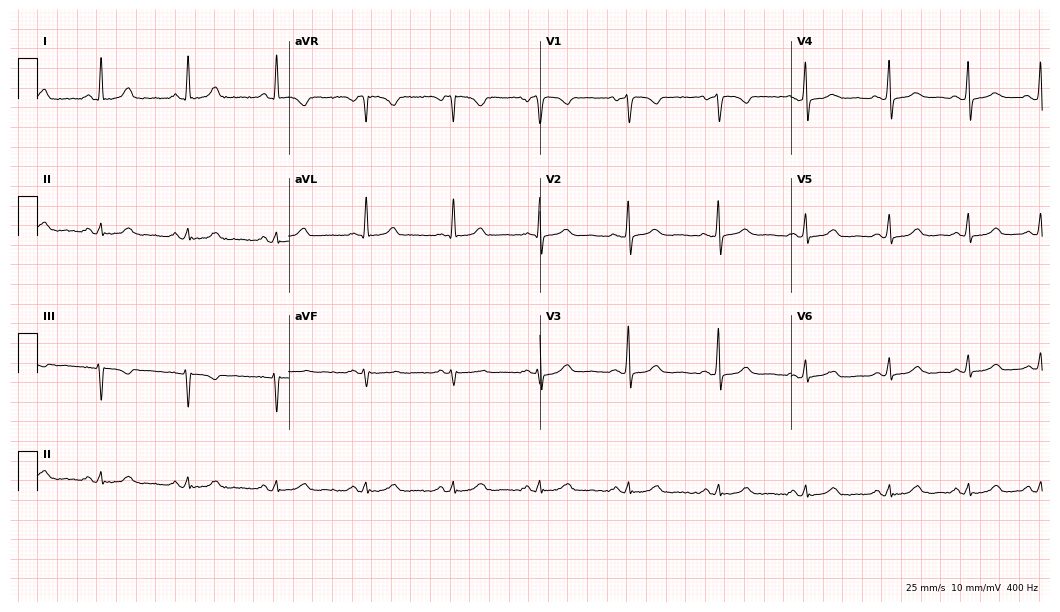
ECG — a female, 64 years old. Screened for six findings — first-degree AV block, right bundle branch block (RBBB), left bundle branch block (LBBB), sinus bradycardia, atrial fibrillation (AF), sinus tachycardia — none is recorded. Only these six findings were labelled.